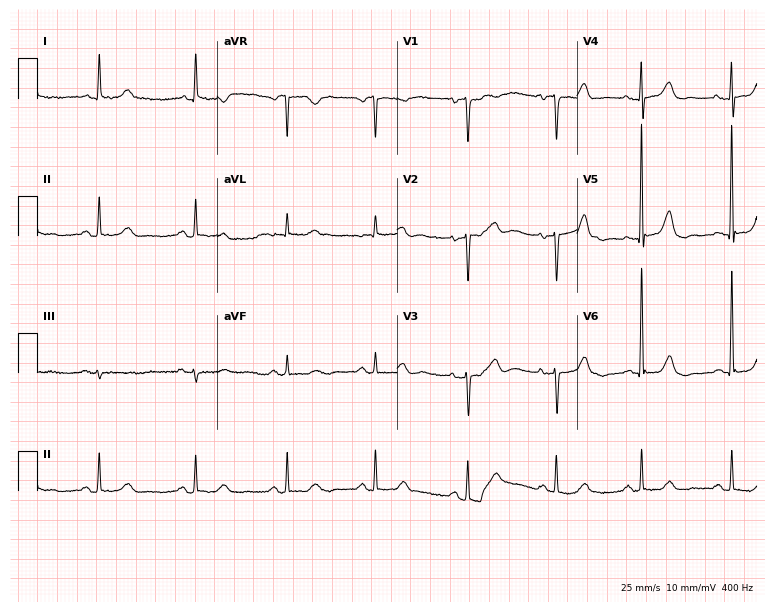
12-lead ECG from a woman, 84 years old (7.3-second recording at 400 Hz). Recorded interpretation: within normal limits.